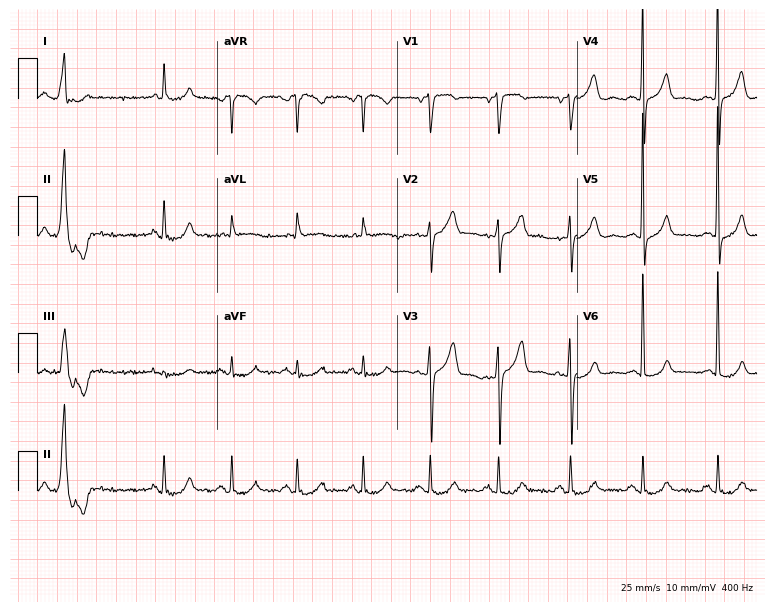
ECG (7.3-second recording at 400 Hz) — a male patient, 67 years old. Screened for six findings — first-degree AV block, right bundle branch block, left bundle branch block, sinus bradycardia, atrial fibrillation, sinus tachycardia — none is recorded. Findings outside these six are not listed.